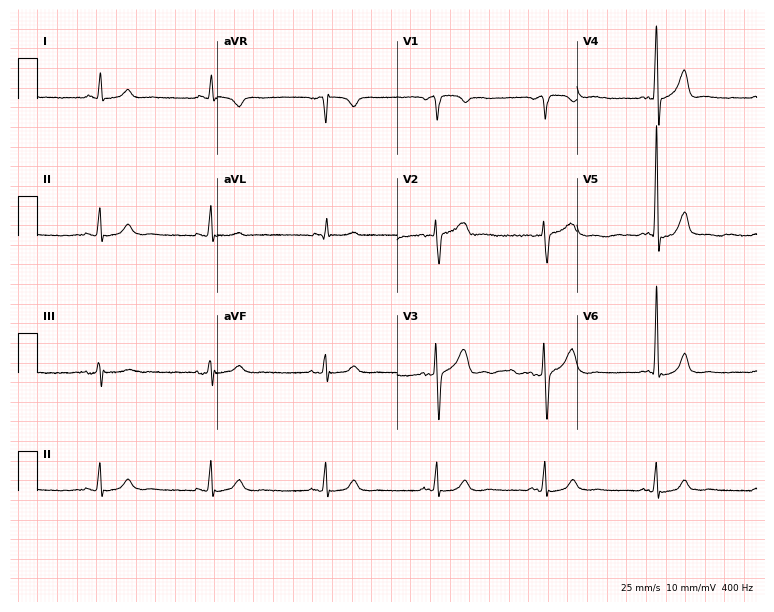
ECG (7.3-second recording at 400 Hz) — a man, 66 years old. Labelled as a normal ECG.